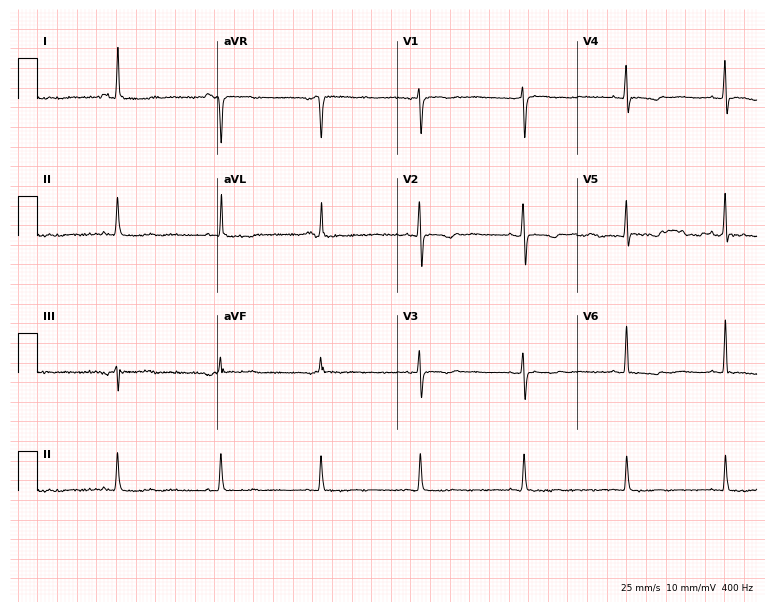
Standard 12-lead ECG recorded from a 62-year-old female. None of these six findings is recorded: first-degree AV block, right bundle branch block (RBBB), left bundle branch block (LBBB), sinus bradycardia, atrial fibrillation (AF), sinus tachycardia.